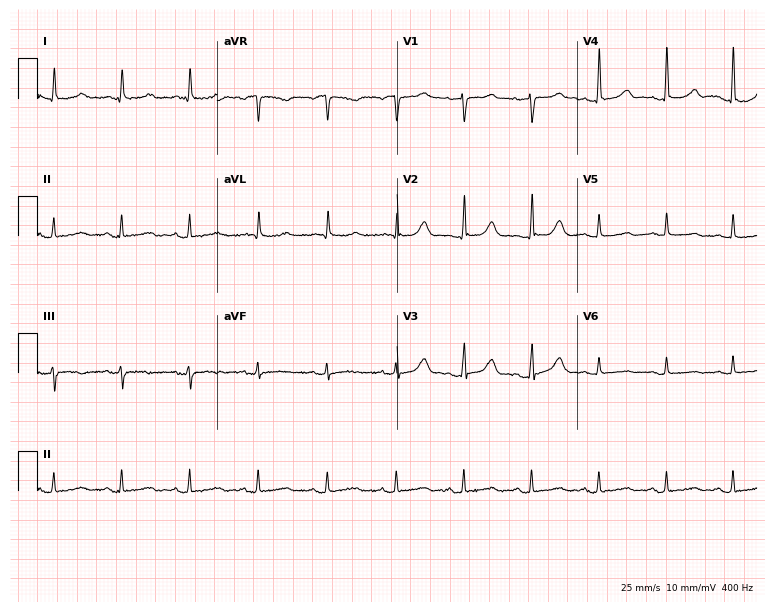
Standard 12-lead ECG recorded from a female patient, 78 years old (7.3-second recording at 400 Hz). None of these six findings is recorded: first-degree AV block, right bundle branch block (RBBB), left bundle branch block (LBBB), sinus bradycardia, atrial fibrillation (AF), sinus tachycardia. Only these six findings were labelled.